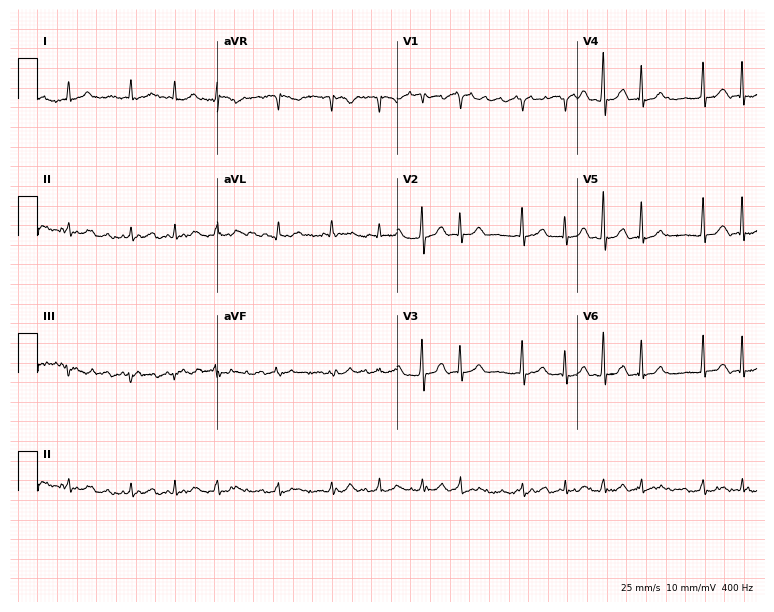
12-lead ECG from a 70-year-old woman (7.3-second recording at 400 Hz). Shows atrial fibrillation.